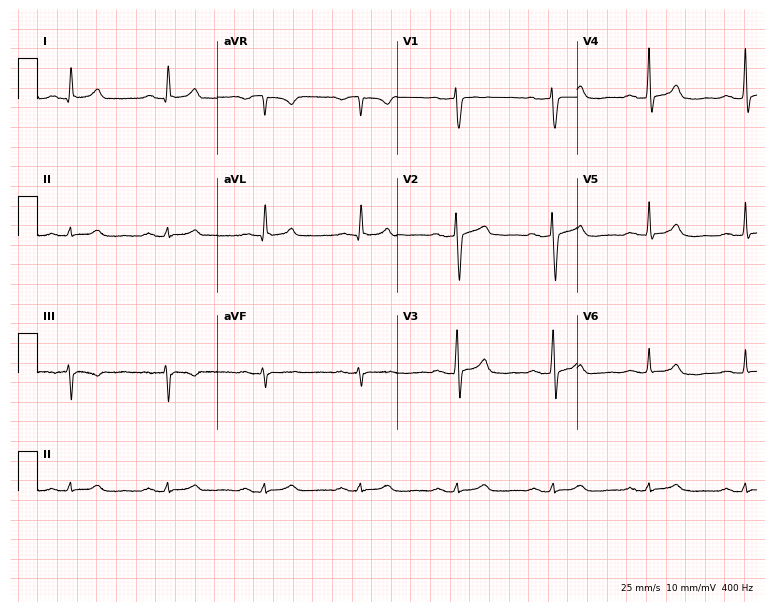
Standard 12-lead ECG recorded from a 55-year-old man (7.3-second recording at 400 Hz). Read as a normal ECG.